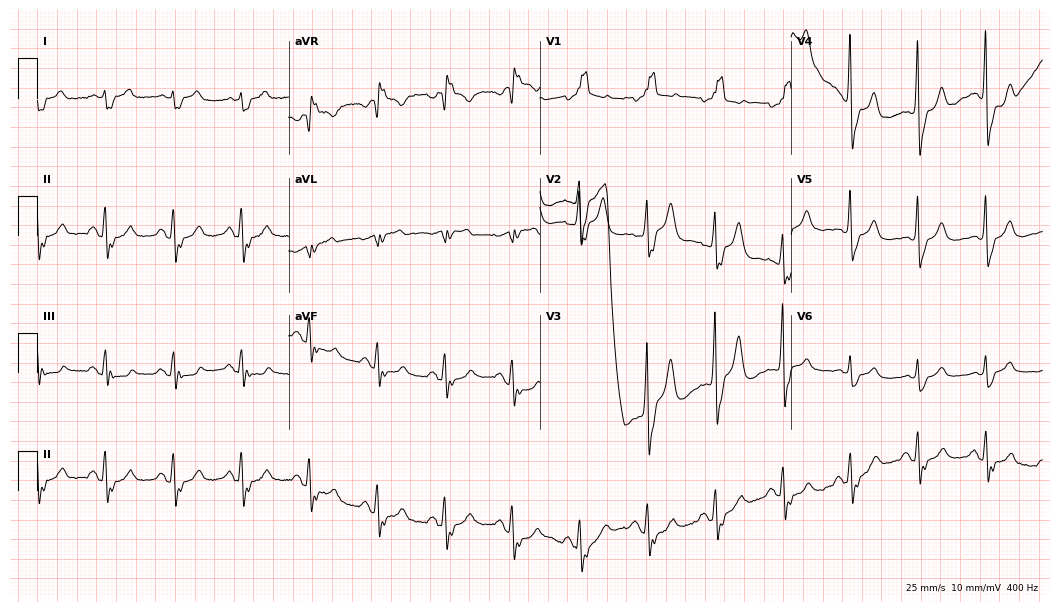
Resting 12-lead electrocardiogram (10.2-second recording at 400 Hz). Patient: a 78-year-old male. The tracing shows right bundle branch block (RBBB).